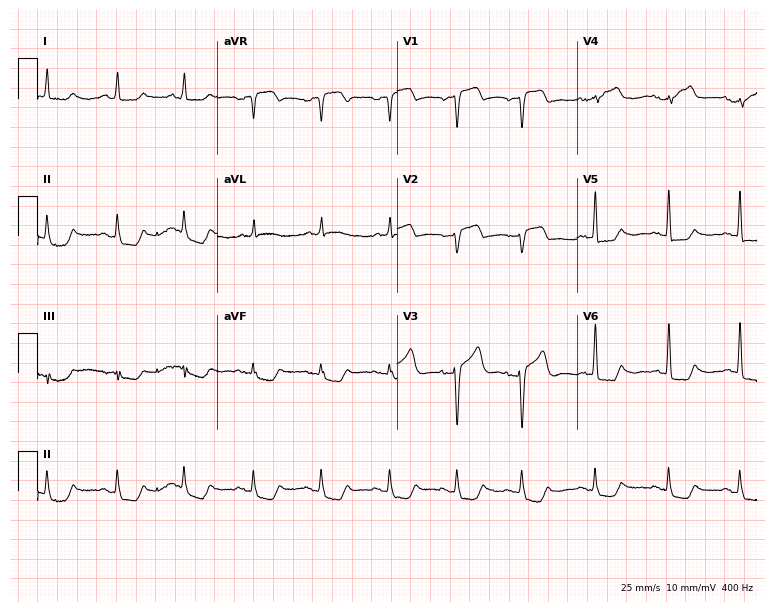
ECG — a man, 85 years old. Screened for six findings — first-degree AV block, right bundle branch block, left bundle branch block, sinus bradycardia, atrial fibrillation, sinus tachycardia — none is recorded.